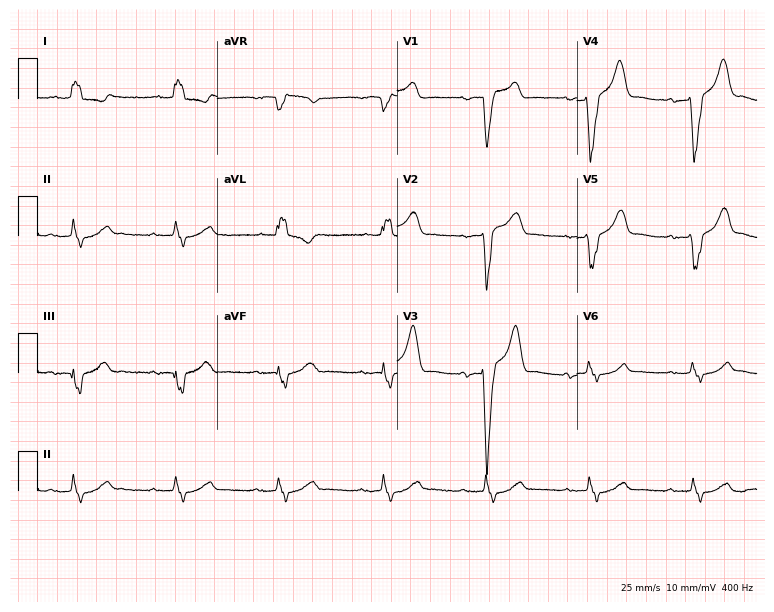
12-lead ECG (7.3-second recording at 400 Hz) from a male patient, 78 years old. Findings include left bundle branch block (LBBB).